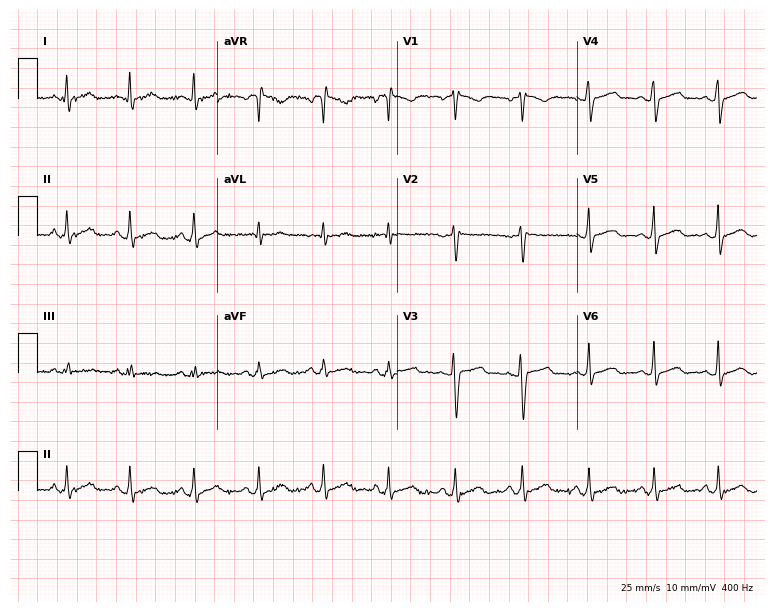
ECG (7.3-second recording at 400 Hz) — a 38-year-old female patient. Labelled as a normal ECG.